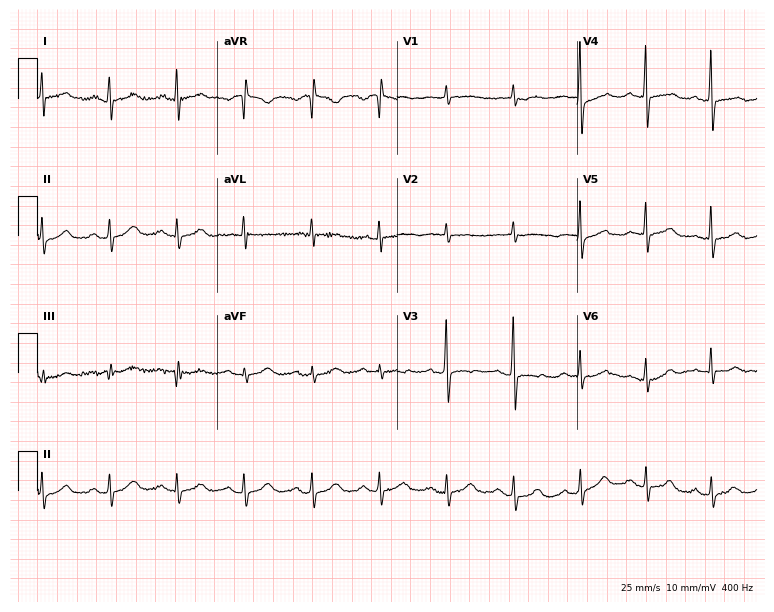
12-lead ECG (7.3-second recording at 400 Hz) from an 84-year-old female patient. Labelled as a normal ECG.